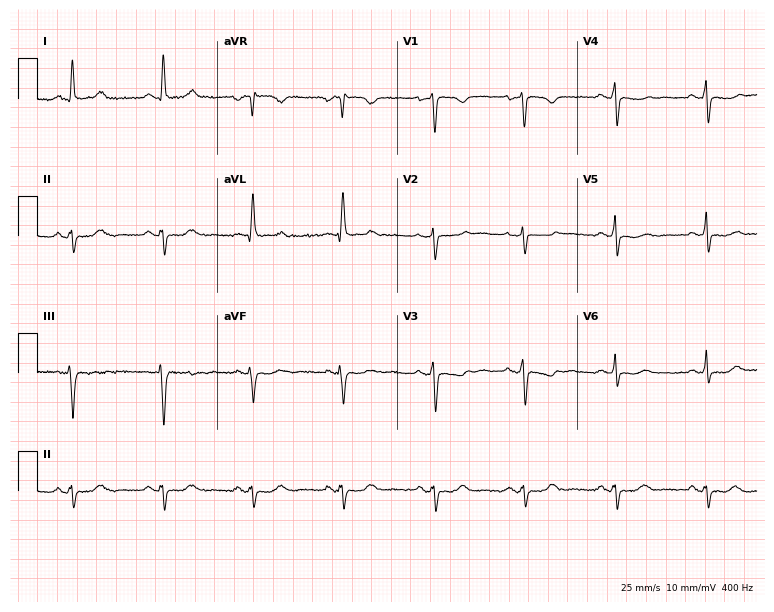
ECG — a female, 55 years old. Screened for six findings — first-degree AV block, right bundle branch block (RBBB), left bundle branch block (LBBB), sinus bradycardia, atrial fibrillation (AF), sinus tachycardia — none is recorded. Other findings, if any, are not listed.